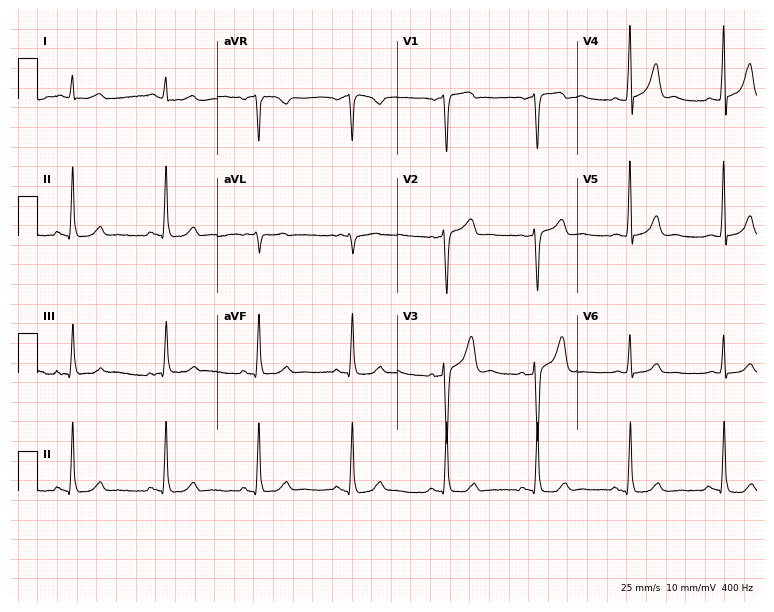
Standard 12-lead ECG recorded from a man, 67 years old. None of these six findings is recorded: first-degree AV block, right bundle branch block (RBBB), left bundle branch block (LBBB), sinus bradycardia, atrial fibrillation (AF), sinus tachycardia. Only these six findings were labelled.